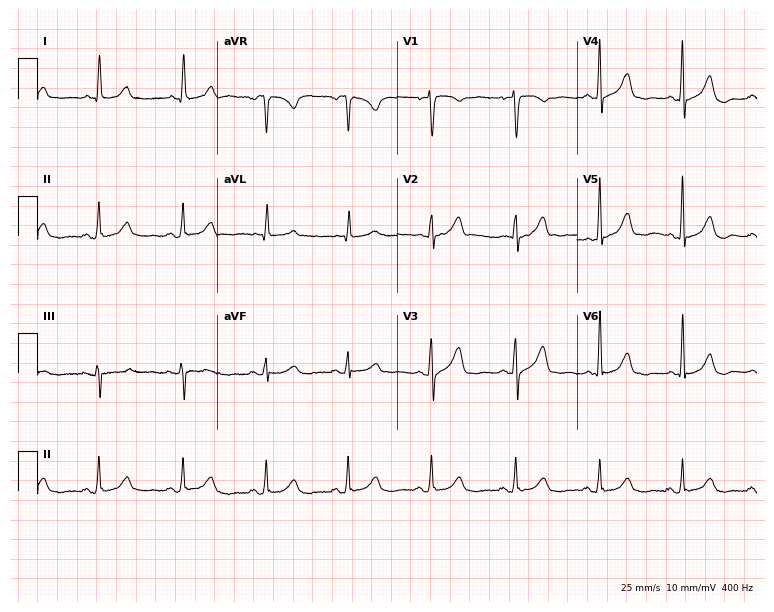
Resting 12-lead electrocardiogram (7.3-second recording at 400 Hz). Patient: a woman, 50 years old. Read as a normal ECG.